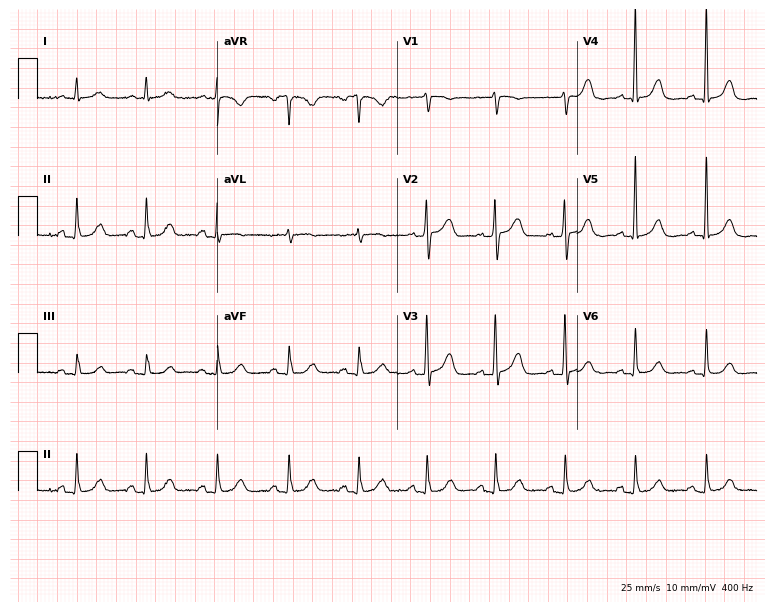
Standard 12-lead ECG recorded from a 74-year-old woman (7.3-second recording at 400 Hz). Read as a normal ECG.